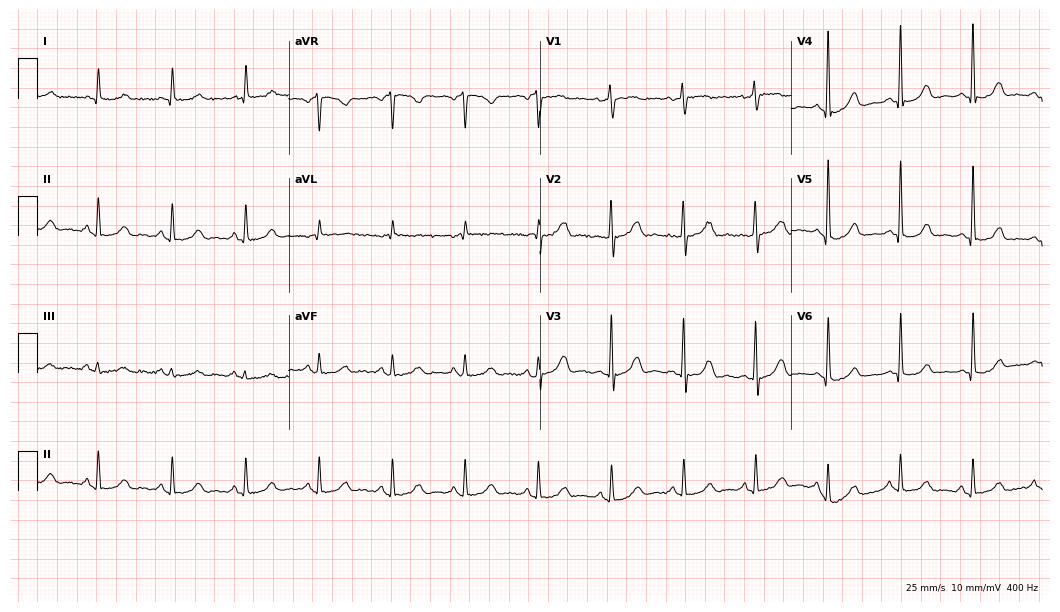
ECG — an 85-year-old female patient. Labelled as a normal ECG.